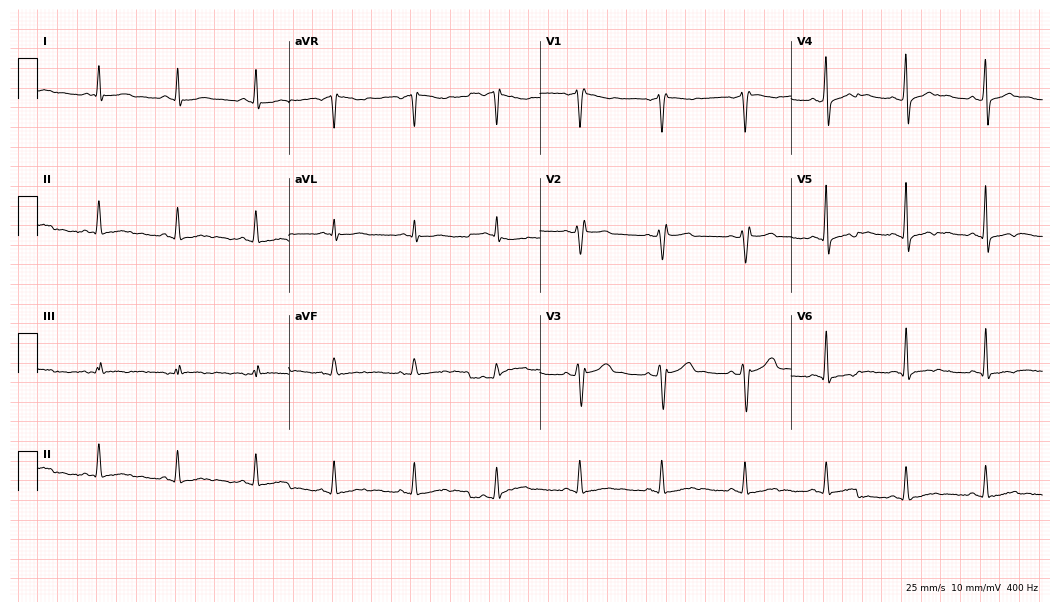
12-lead ECG from a 34-year-old male. Findings include right bundle branch block.